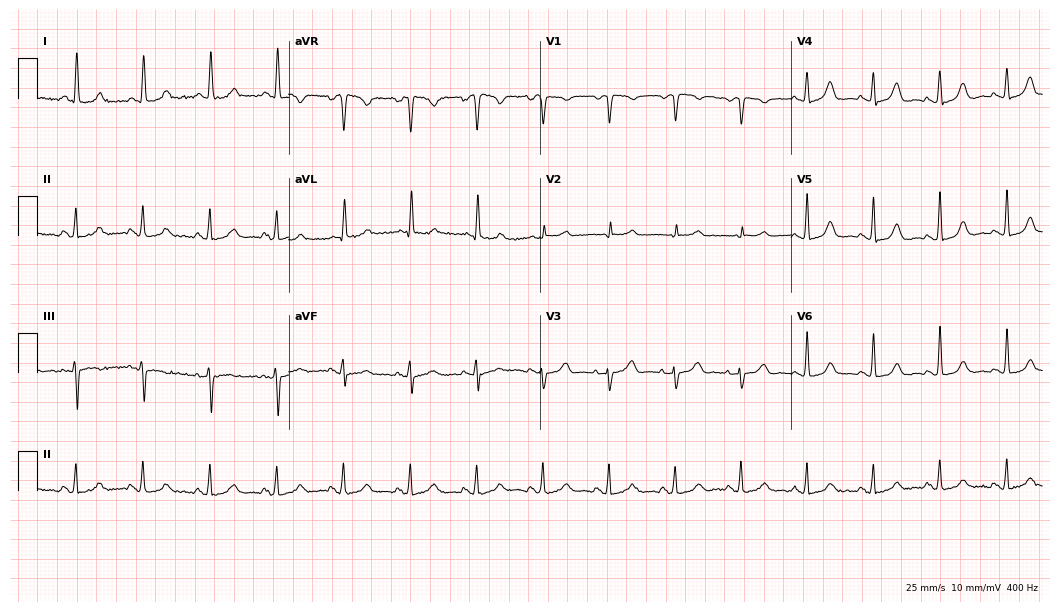
12-lead ECG from a woman, 81 years old (10.2-second recording at 400 Hz). Recorded interpretation: within normal limits.